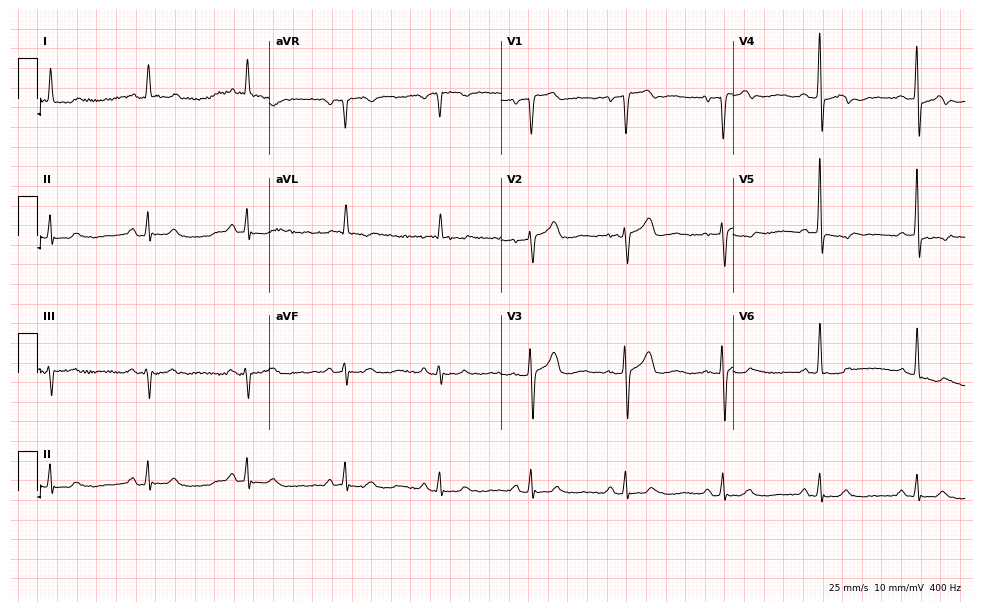
Resting 12-lead electrocardiogram. Patient: an 84-year-old male. None of these six findings is recorded: first-degree AV block, right bundle branch block, left bundle branch block, sinus bradycardia, atrial fibrillation, sinus tachycardia.